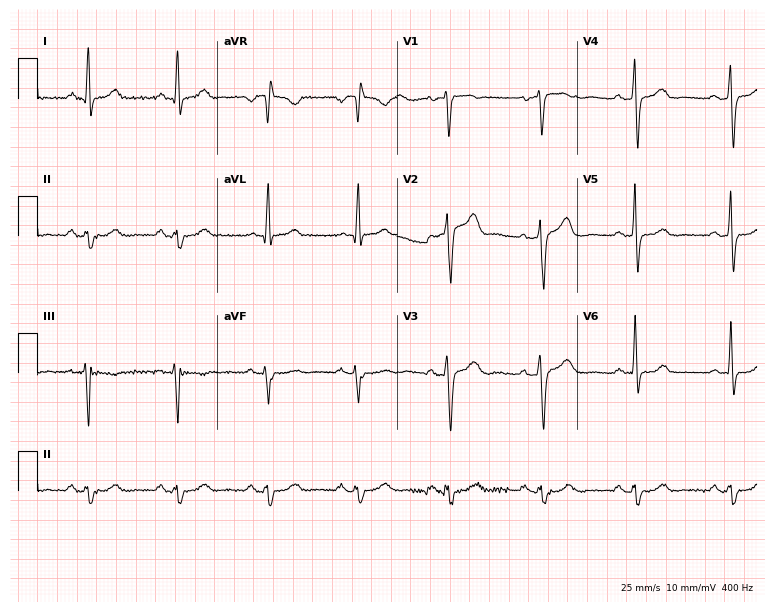
12-lead ECG from a male, 45 years old. No first-degree AV block, right bundle branch block (RBBB), left bundle branch block (LBBB), sinus bradycardia, atrial fibrillation (AF) or sinus tachycardia recorded for this tracing. Findings outside these six are not listed.